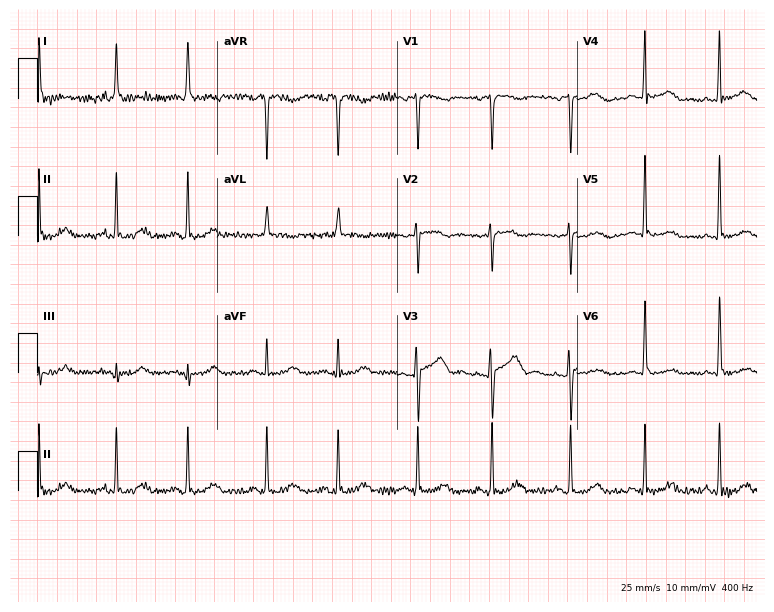
Resting 12-lead electrocardiogram. Patient: an 81-year-old woman. Read as a normal ECG.